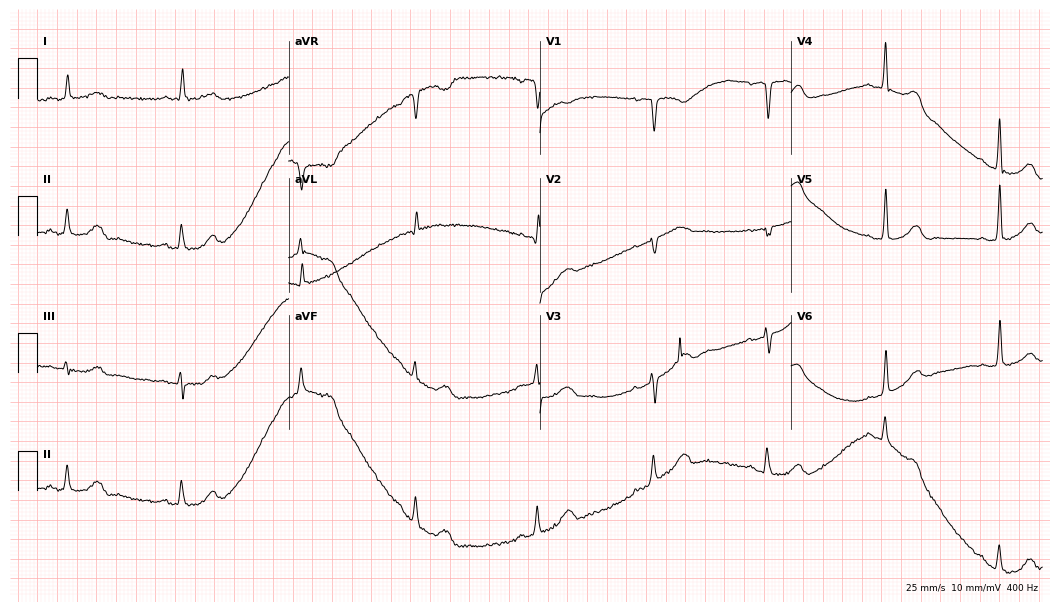
Resting 12-lead electrocardiogram (10.2-second recording at 400 Hz). Patient: a 73-year-old woman. The tracing shows sinus bradycardia (a sinus rate of 50 beats per minute or less).